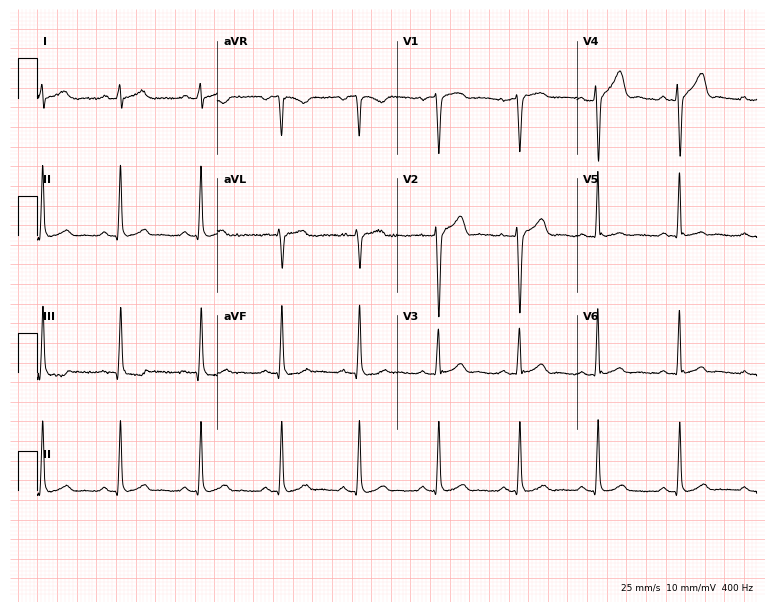
Standard 12-lead ECG recorded from a 29-year-old man (7.3-second recording at 400 Hz). None of these six findings is recorded: first-degree AV block, right bundle branch block, left bundle branch block, sinus bradycardia, atrial fibrillation, sinus tachycardia. Other findings, if any, are not listed.